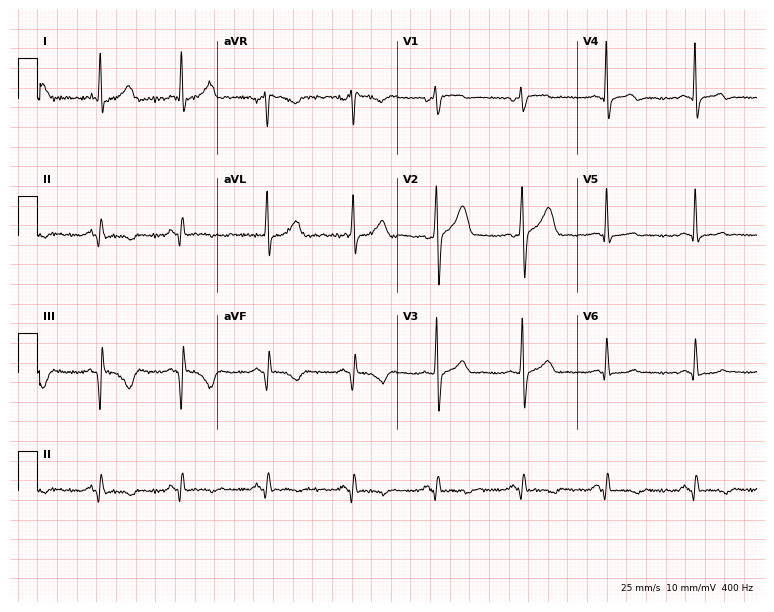
12-lead ECG from a male patient, 46 years old. Screened for six findings — first-degree AV block, right bundle branch block (RBBB), left bundle branch block (LBBB), sinus bradycardia, atrial fibrillation (AF), sinus tachycardia — none is recorded. Only these six findings were labelled.